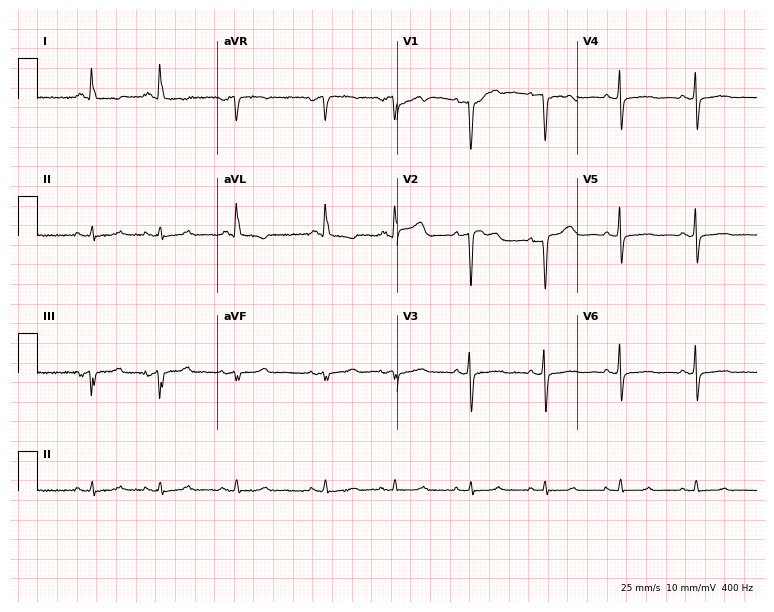
Standard 12-lead ECG recorded from a 68-year-old female. None of these six findings is recorded: first-degree AV block, right bundle branch block (RBBB), left bundle branch block (LBBB), sinus bradycardia, atrial fibrillation (AF), sinus tachycardia.